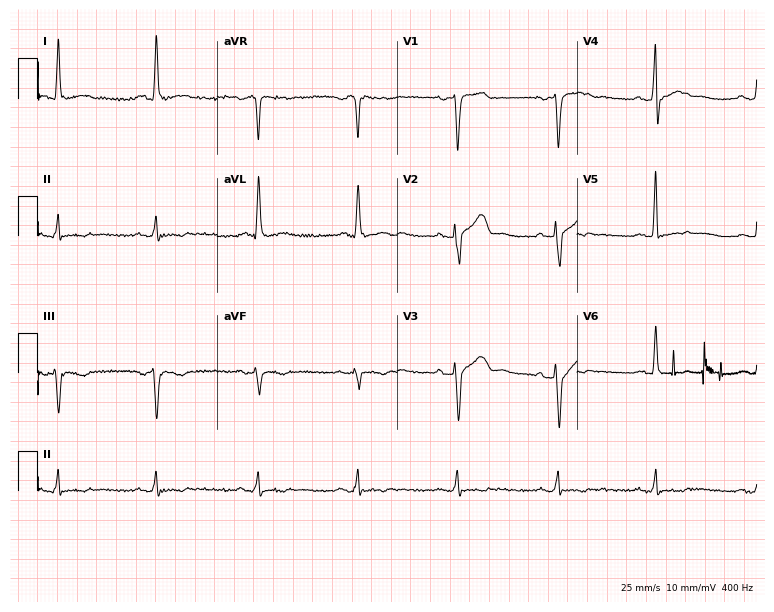
12-lead ECG from a man, 73 years old (7.3-second recording at 400 Hz). No first-degree AV block, right bundle branch block (RBBB), left bundle branch block (LBBB), sinus bradycardia, atrial fibrillation (AF) or sinus tachycardia recorded for this tracing.